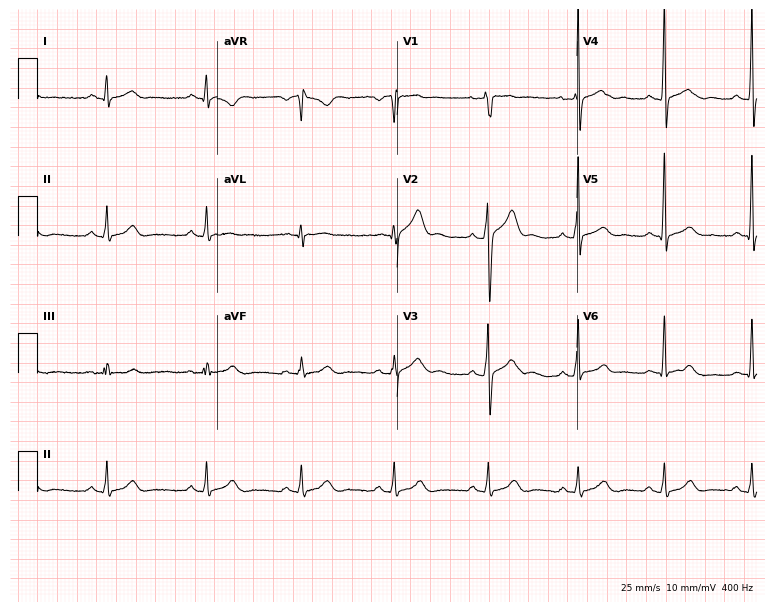
Electrocardiogram, a 25-year-old male patient. Overall reading on record: normal ECG.